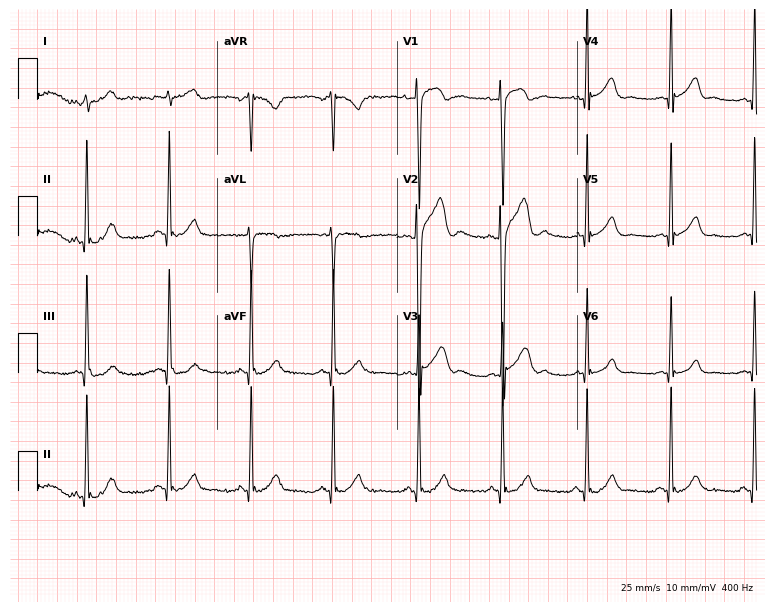
12-lead ECG from a 22-year-old male. Recorded interpretation: within normal limits.